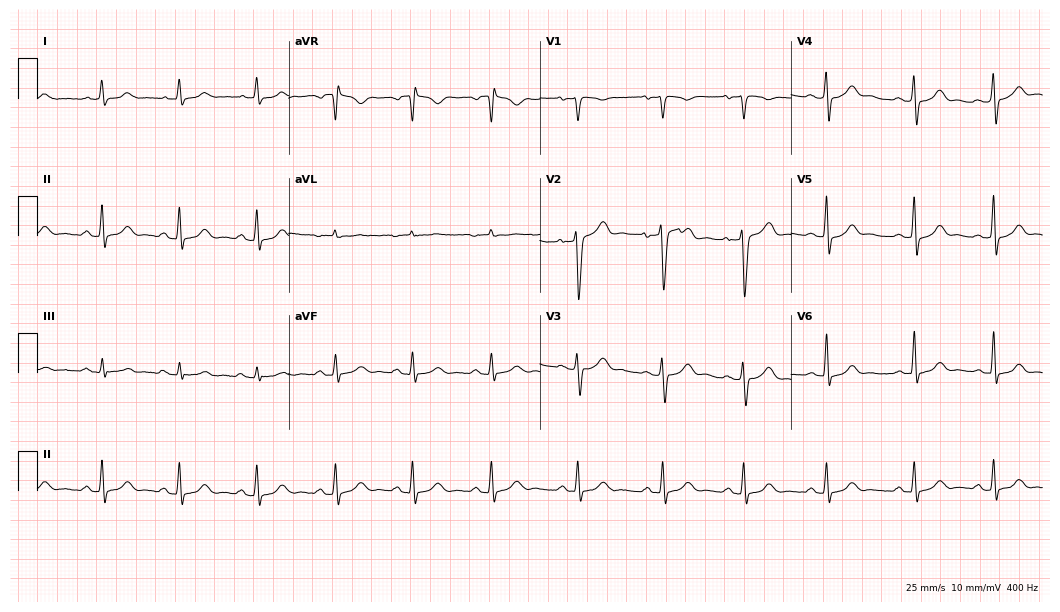
12-lead ECG from a 36-year-old female patient. Recorded interpretation: within normal limits.